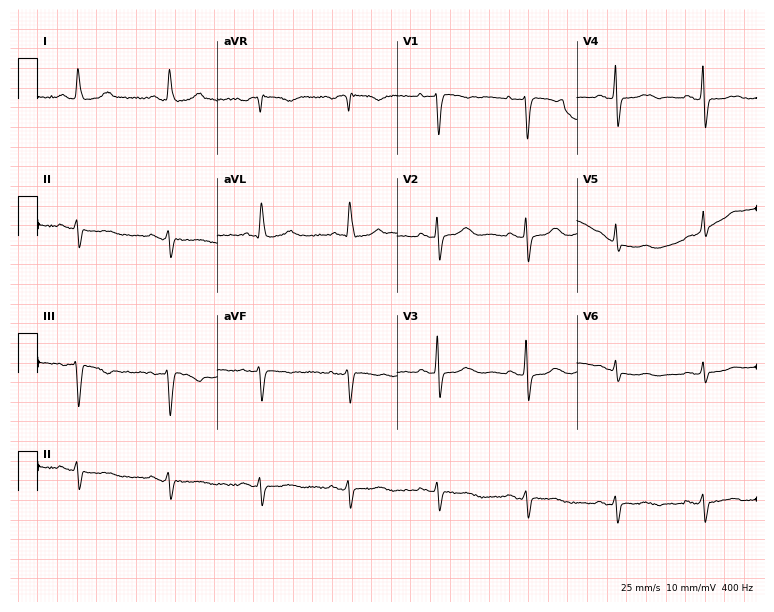
Resting 12-lead electrocardiogram (7.3-second recording at 400 Hz). Patient: a female, 74 years old. None of these six findings is recorded: first-degree AV block, right bundle branch block (RBBB), left bundle branch block (LBBB), sinus bradycardia, atrial fibrillation (AF), sinus tachycardia.